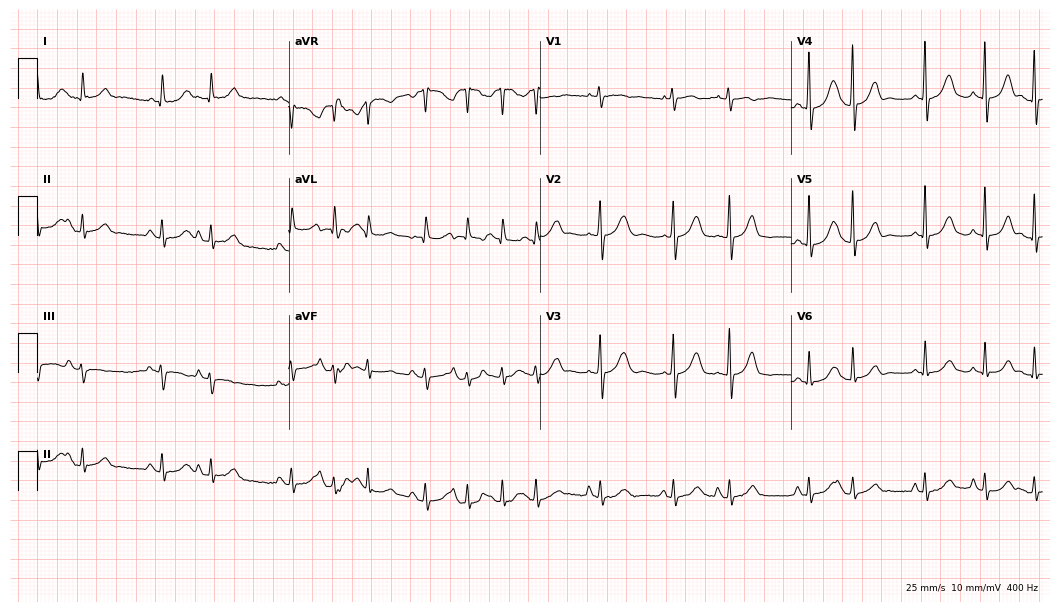
Resting 12-lead electrocardiogram. Patient: a 73-year-old female. None of these six findings is recorded: first-degree AV block, right bundle branch block, left bundle branch block, sinus bradycardia, atrial fibrillation, sinus tachycardia. Only these six findings were labelled.